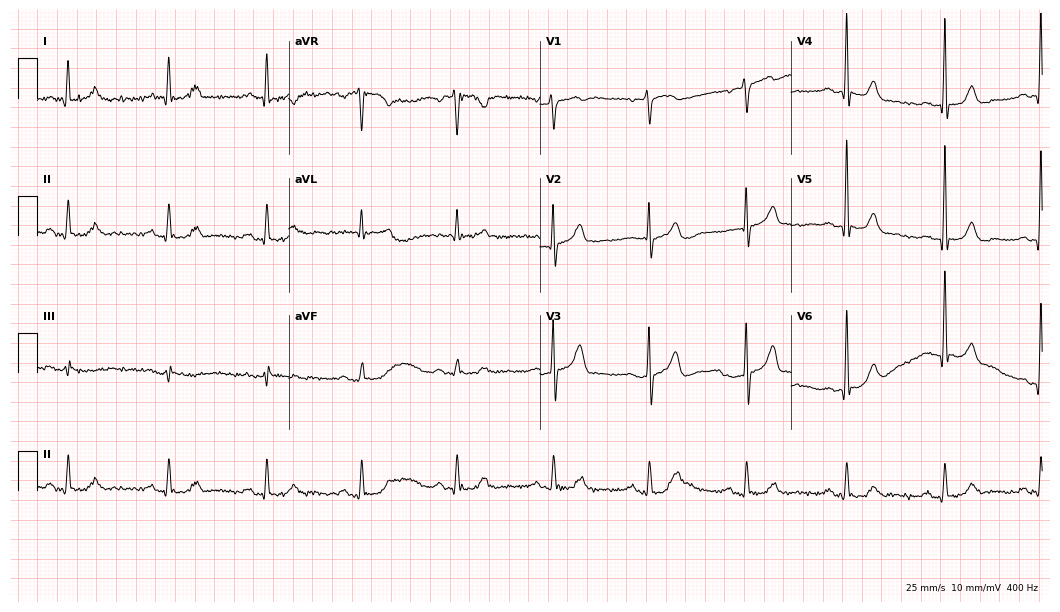
ECG (10.2-second recording at 400 Hz) — a 70-year-old male patient. Screened for six findings — first-degree AV block, right bundle branch block, left bundle branch block, sinus bradycardia, atrial fibrillation, sinus tachycardia — none is recorded. Findings outside these six are not listed.